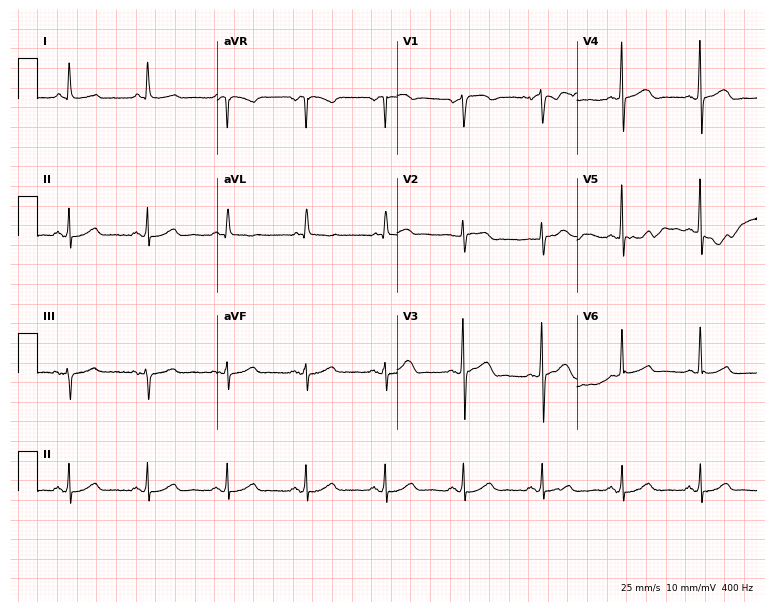
Resting 12-lead electrocardiogram. Patient: a 76-year-old female. Read as a normal ECG.